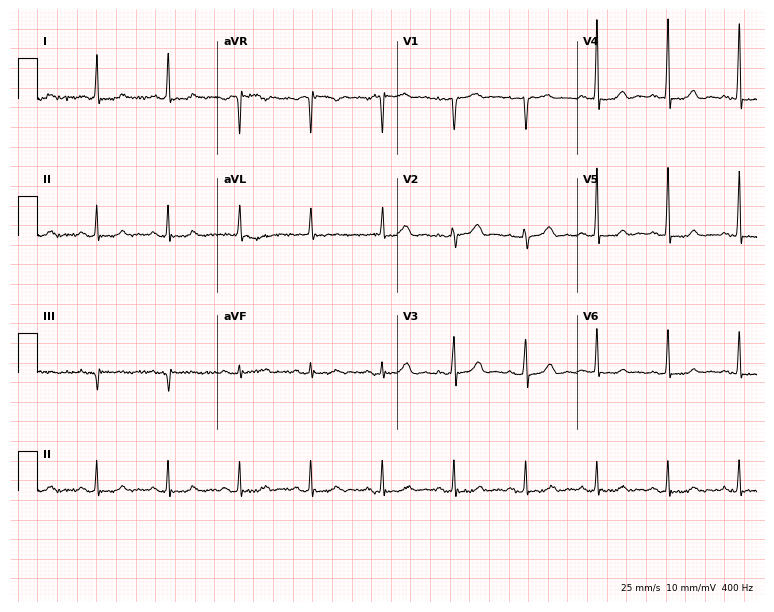
Resting 12-lead electrocardiogram. Patient: a 74-year-old female. Read as a normal ECG.